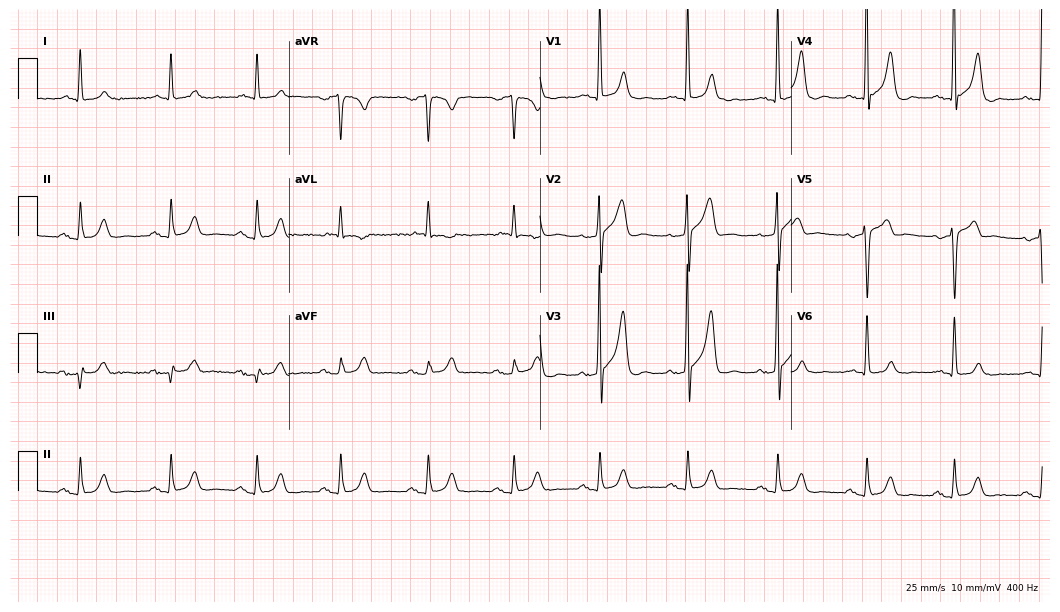
12-lead ECG from a 67-year-old man. No first-degree AV block, right bundle branch block (RBBB), left bundle branch block (LBBB), sinus bradycardia, atrial fibrillation (AF) or sinus tachycardia recorded for this tracing.